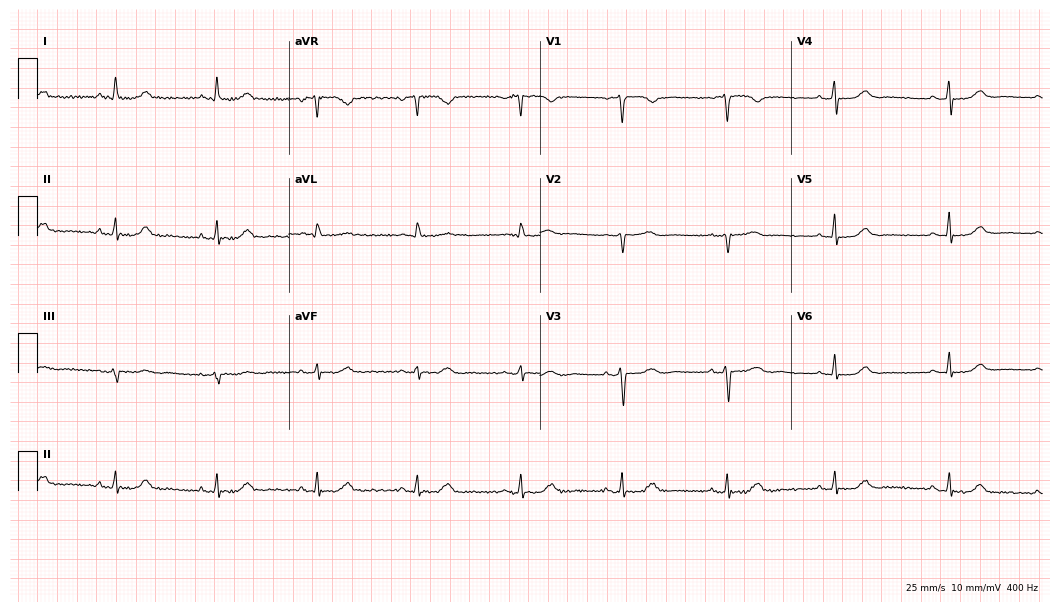
12-lead ECG (10.2-second recording at 400 Hz) from a 71-year-old female. Labelled as a normal ECG.